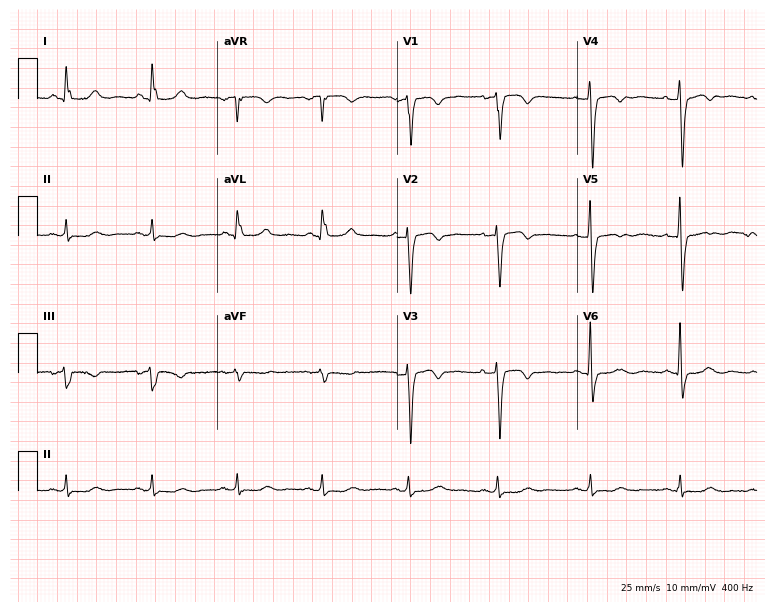
ECG — a woman, 63 years old. Screened for six findings — first-degree AV block, right bundle branch block, left bundle branch block, sinus bradycardia, atrial fibrillation, sinus tachycardia — none is recorded.